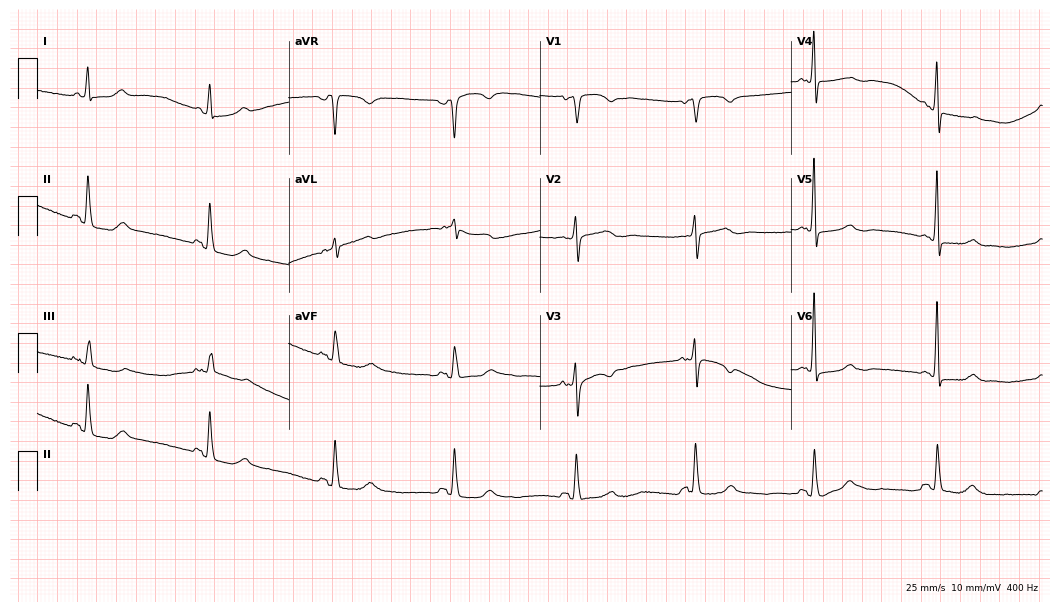
12-lead ECG from a 71-year-old female (10.2-second recording at 400 Hz). Recorded interpretation: within normal limits.